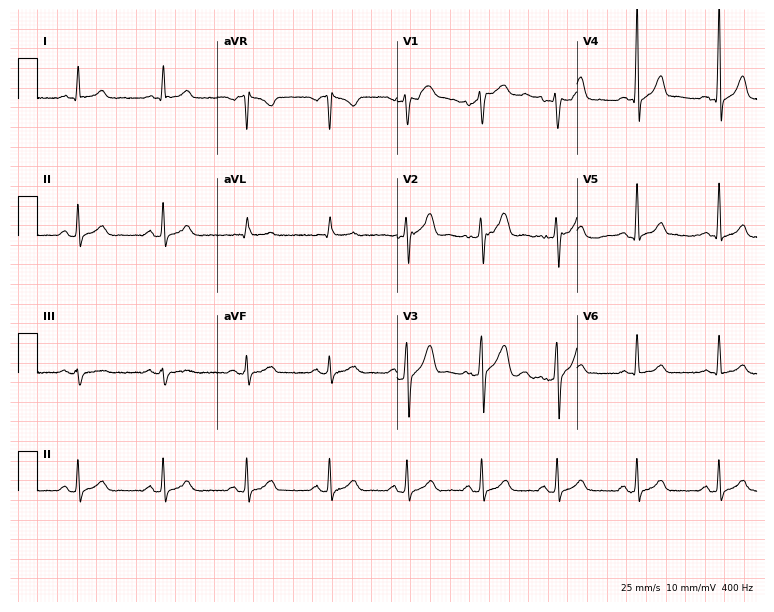
Electrocardiogram (7.3-second recording at 400 Hz), a male patient, 51 years old. Overall reading on record: normal ECG.